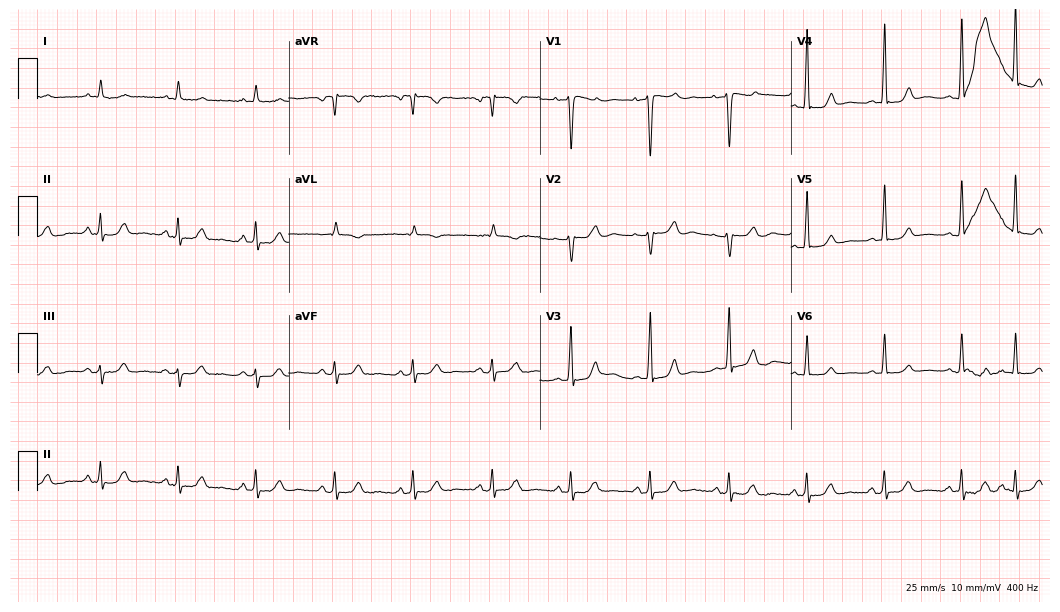
Standard 12-lead ECG recorded from a female patient, 67 years old (10.2-second recording at 400 Hz). None of these six findings is recorded: first-degree AV block, right bundle branch block, left bundle branch block, sinus bradycardia, atrial fibrillation, sinus tachycardia. Findings outside these six are not listed.